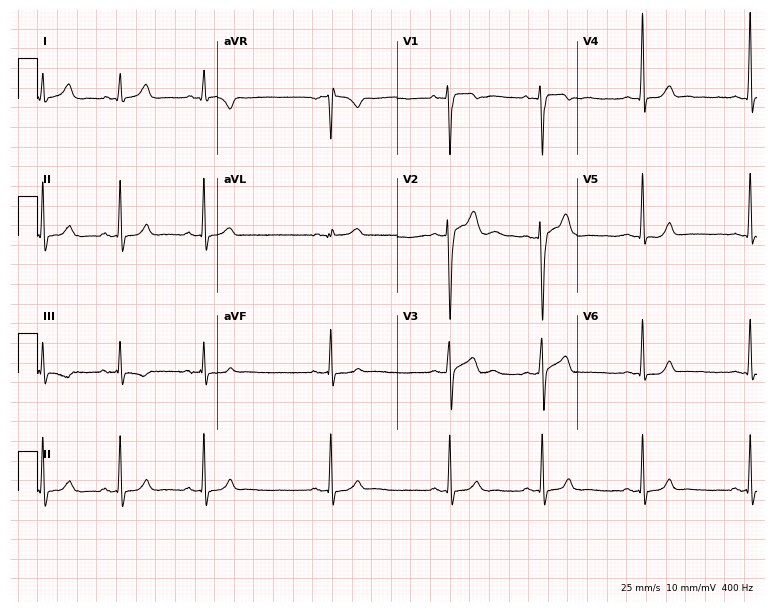
12-lead ECG from a 20-year-old male patient (7.3-second recording at 400 Hz). No first-degree AV block, right bundle branch block, left bundle branch block, sinus bradycardia, atrial fibrillation or sinus tachycardia recorded for this tracing.